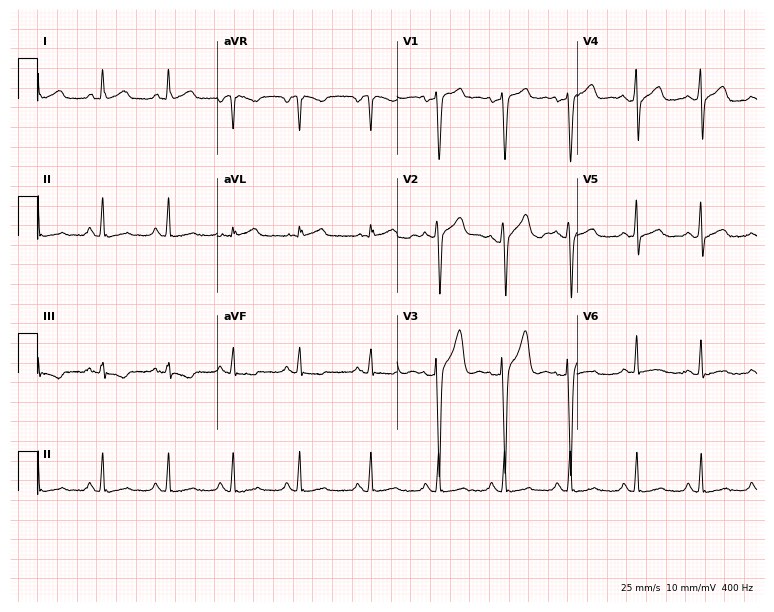
ECG (7.3-second recording at 400 Hz) — a male patient, 40 years old. Screened for six findings — first-degree AV block, right bundle branch block, left bundle branch block, sinus bradycardia, atrial fibrillation, sinus tachycardia — none is recorded. Only these six findings were labelled.